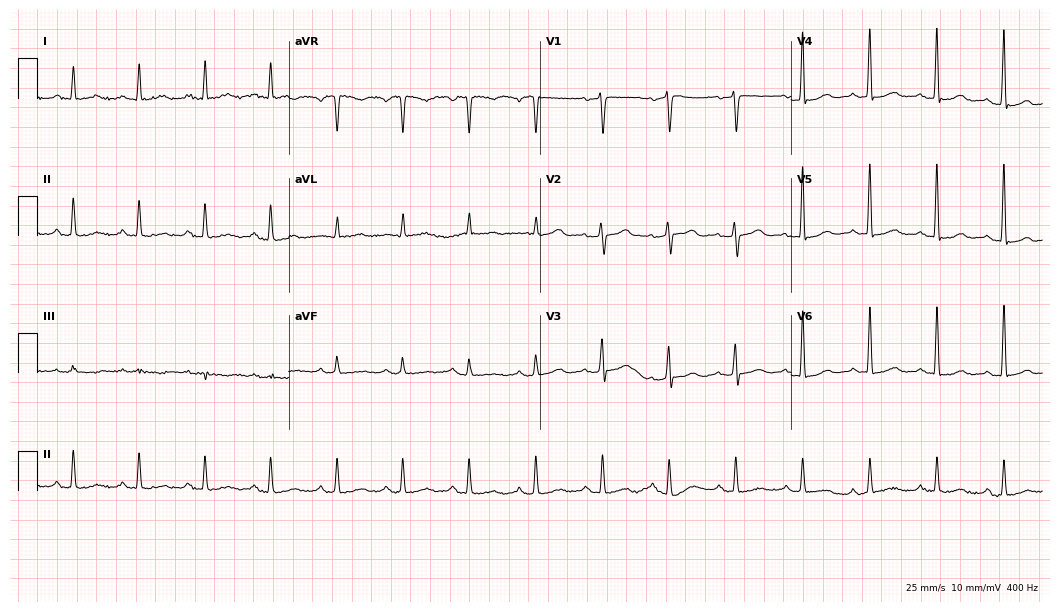
Electrocardiogram (10.2-second recording at 400 Hz), a woman, 84 years old. Overall reading on record: normal ECG.